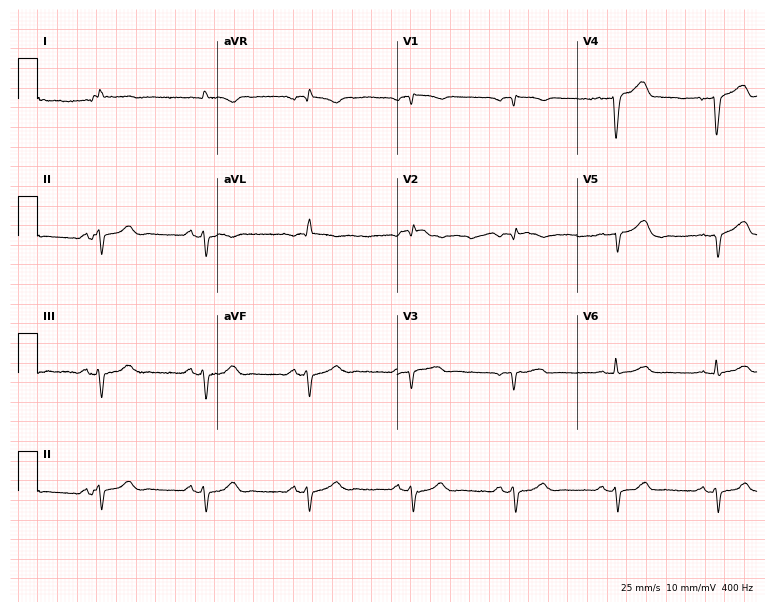
Resting 12-lead electrocardiogram. Patient: a 66-year-old man. None of these six findings is recorded: first-degree AV block, right bundle branch block, left bundle branch block, sinus bradycardia, atrial fibrillation, sinus tachycardia. Only these six findings were labelled.